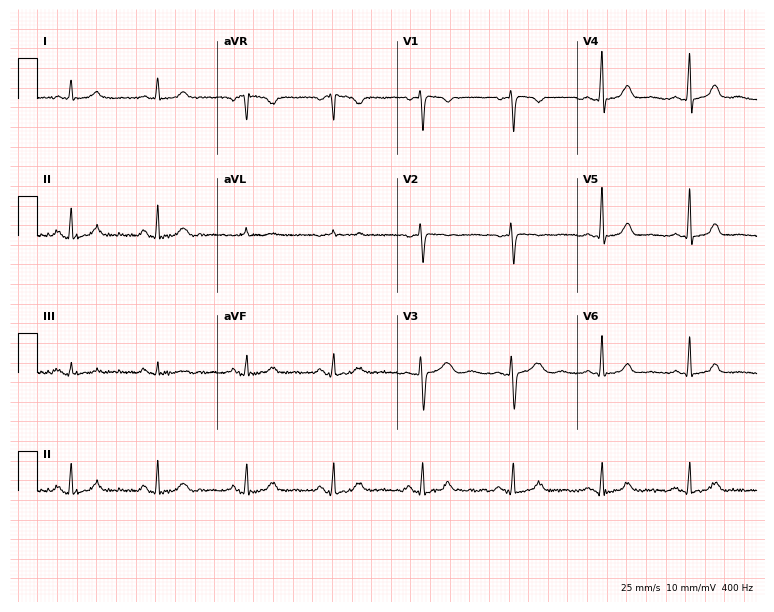
12-lead ECG from a female, 40 years old. No first-degree AV block, right bundle branch block (RBBB), left bundle branch block (LBBB), sinus bradycardia, atrial fibrillation (AF) or sinus tachycardia recorded for this tracing. Other findings, if any, are not listed.